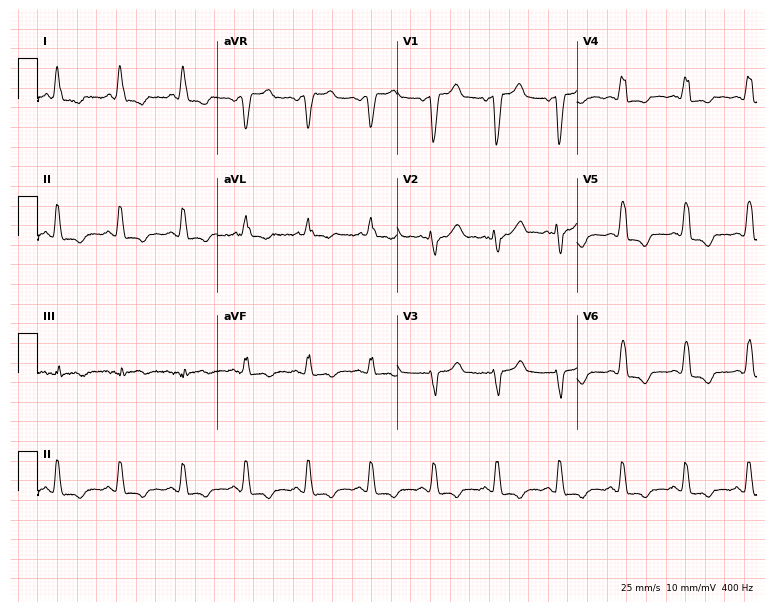
ECG (7.3-second recording at 400 Hz) — a female, 76 years old. Screened for six findings — first-degree AV block, right bundle branch block, left bundle branch block, sinus bradycardia, atrial fibrillation, sinus tachycardia — none is recorded.